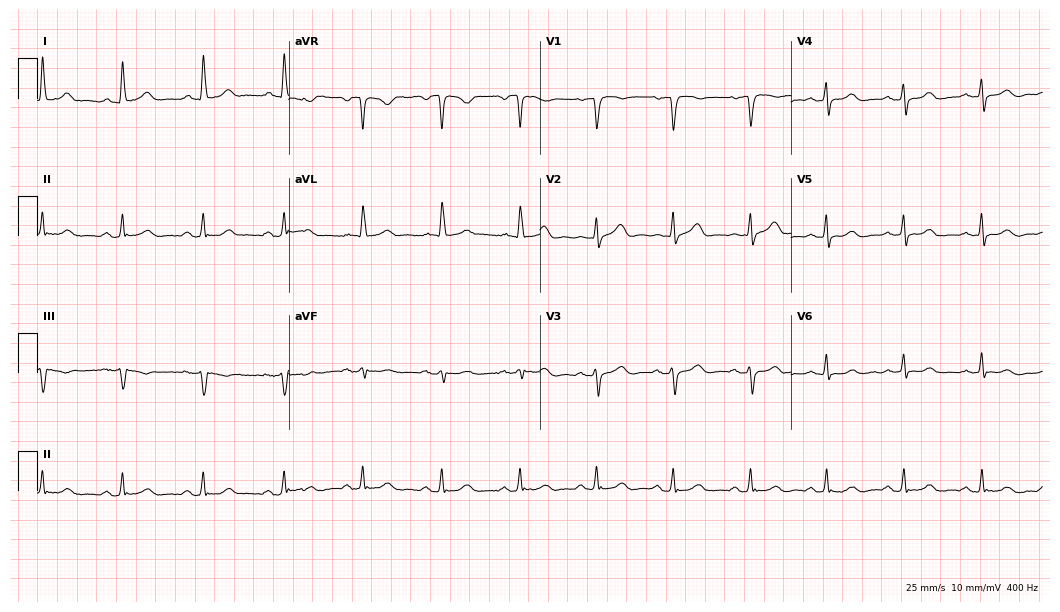
12-lead ECG (10.2-second recording at 400 Hz) from a female, 60 years old. Labelled as a normal ECG.